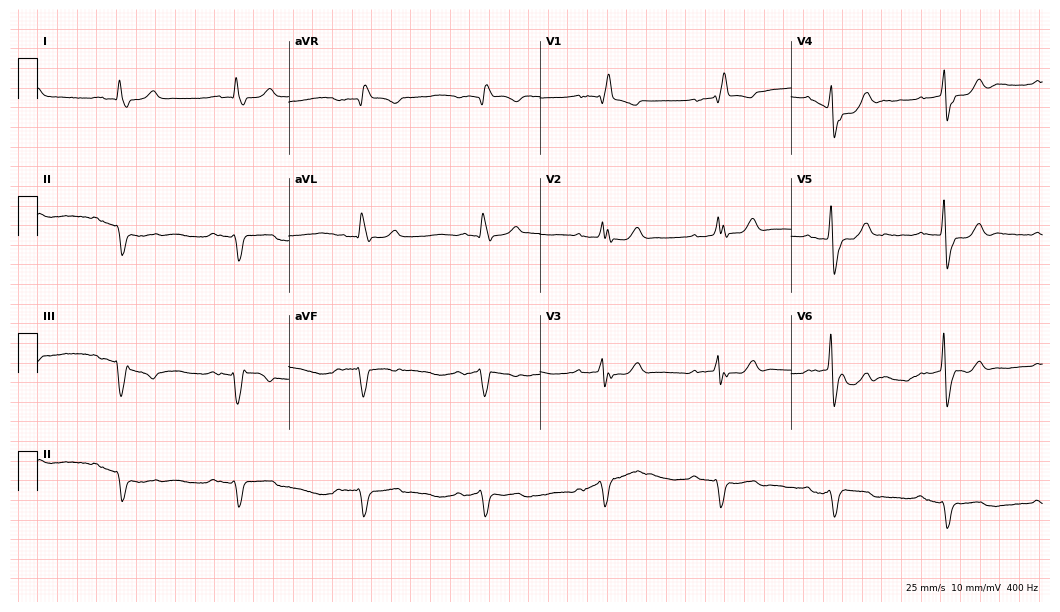
Standard 12-lead ECG recorded from a male patient, 85 years old (10.2-second recording at 400 Hz). The tracing shows right bundle branch block.